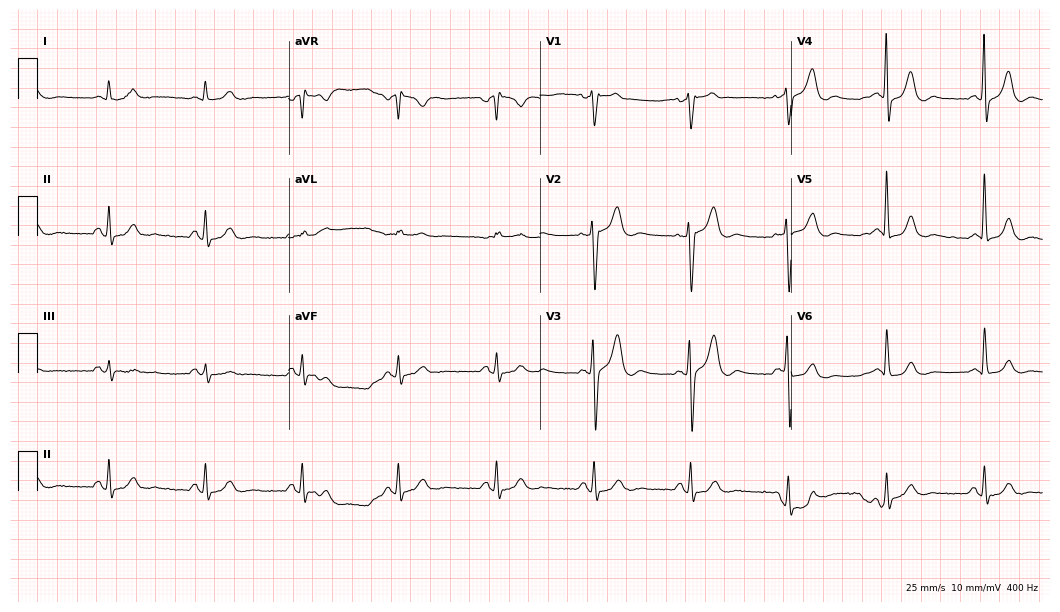
12-lead ECG from a 72-year-old male patient. No first-degree AV block, right bundle branch block, left bundle branch block, sinus bradycardia, atrial fibrillation or sinus tachycardia recorded for this tracing. Other findings, if any, are not listed.